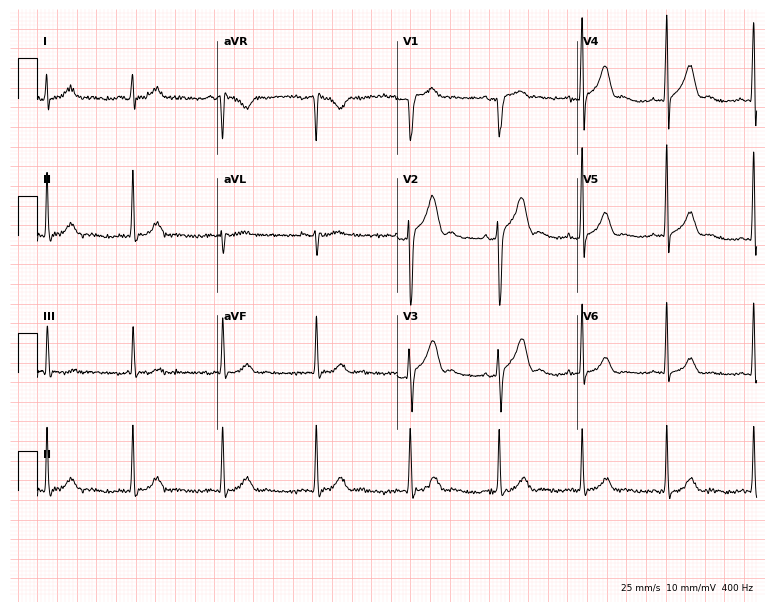
Electrocardiogram, a 31-year-old man. Of the six screened findings (first-degree AV block, right bundle branch block, left bundle branch block, sinus bradycardia, atrial fibrillation, sinus tachycardia), none is recorded. Findings outside these six are not listed.